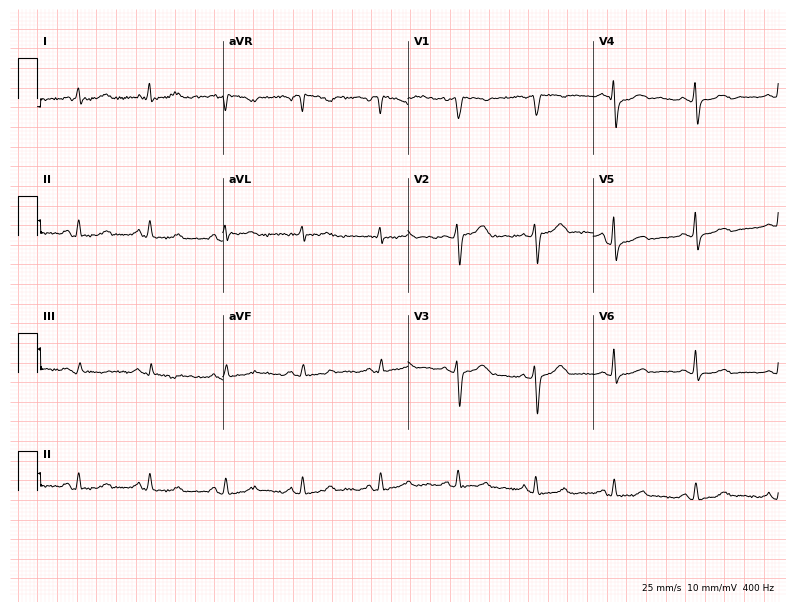
Standard 12-lead ECG recorded from a 45-year-old woman. None of these six findings is recorded: first-degree AV block, right bundle branch block, left bundle branch block, sinus bradycardia, atrial fibrillation, sinus tachycardia. Findings outside these six are not listed.